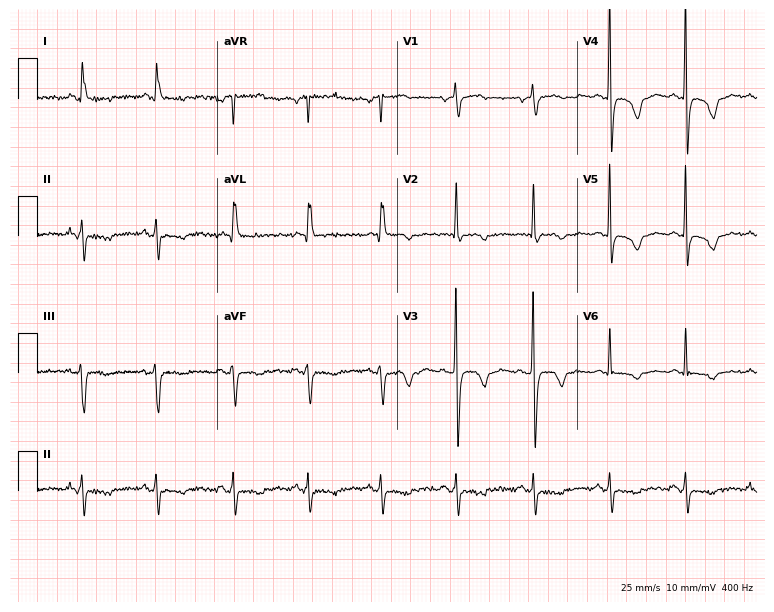
Standard 12-lead ECG recorded from a woman, 63 years old (7.3-second recording at 400 Hz). None of these six findings is recorded: first-degree AV block, right bundle branch block, left bundle branch block, sinus bradycardia, atrial fibrillation, sinus tachycardia.